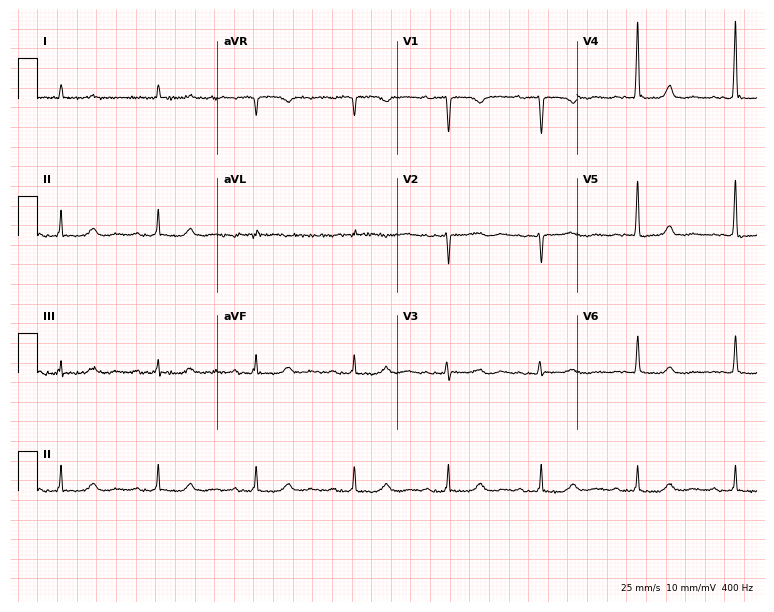
Electrocardiogram, a female, 61 years old. Of the six screened findings (first-degree AV block, right bundle branch block, left bundle branch block, sinus bradycardia, atrial fibrillation, sinus tachycardia), none is recorded. Findings outside these six are not listed.